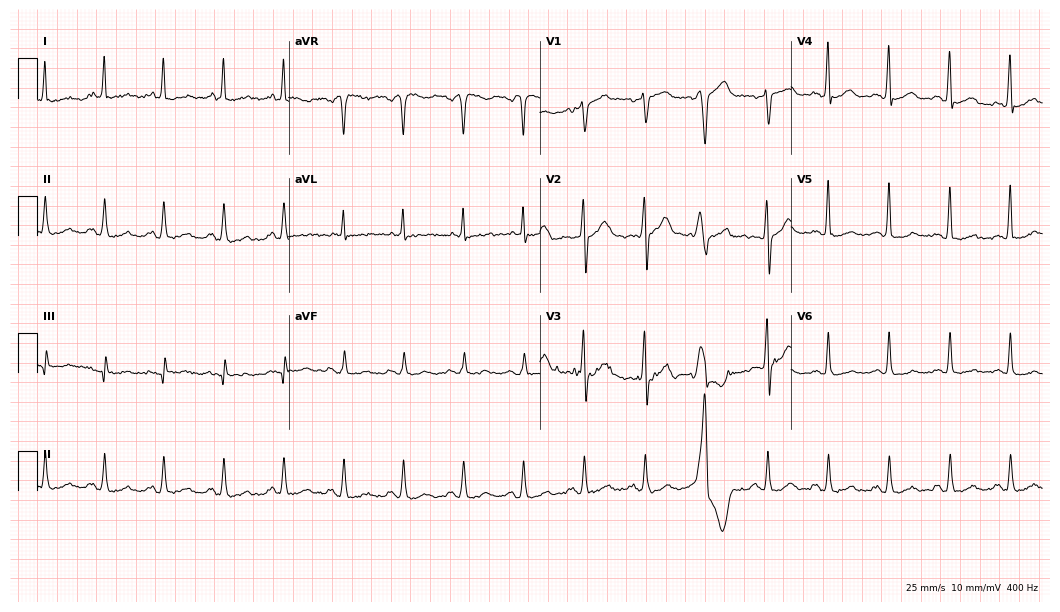
12-lead ECG (10.2-second recording at 400 Hz) from a male patient, 58 years old. Screened for six findings — first-degree AV block, right bundle branch block (RBBB), left bundle branch block (LBBB), sinus bradycardia, atrial fibrillation (AF), sinus tachycardia — none is recorded. Other findings, if any, are not listed.